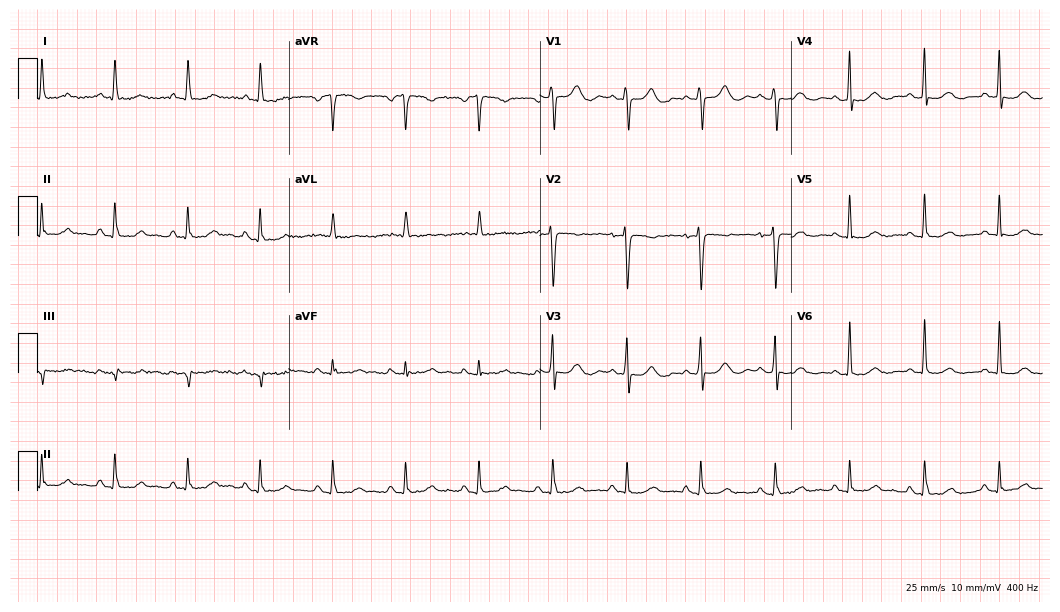
12-lead ECG from a female patient, 64 years old. Screened for six findings — first-degree AV block, right bundle branch block, left bundle branch block, sinus bradycardia, atrial fibrillation, sinus tachycardia — none is recorded.